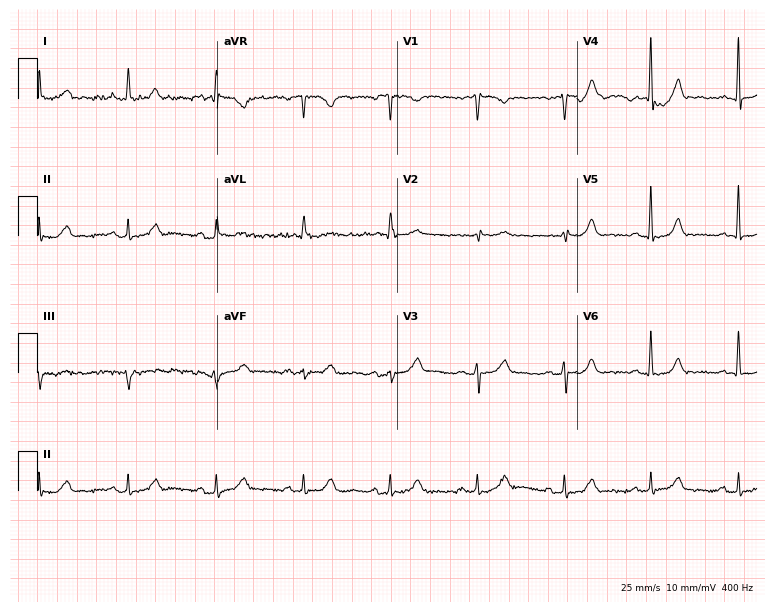
ECG — a 64-year-old woman. Labelled as a normal ECG.